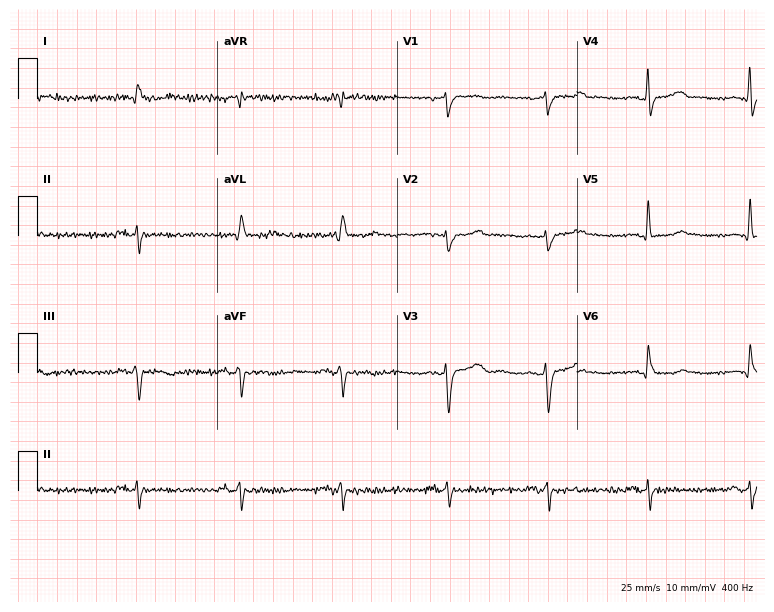
Resting 12-lead electrocardiogram (7.3-second recording at 400 Hz). Patient: a male, 67 years old. None of these six findings is recorded: first-degree AV block, right bundle branch block (RBBB), left bundle branch block (LBBB), sinus bradycardia, atrial fibrillation (AF), sinus tachycardia.